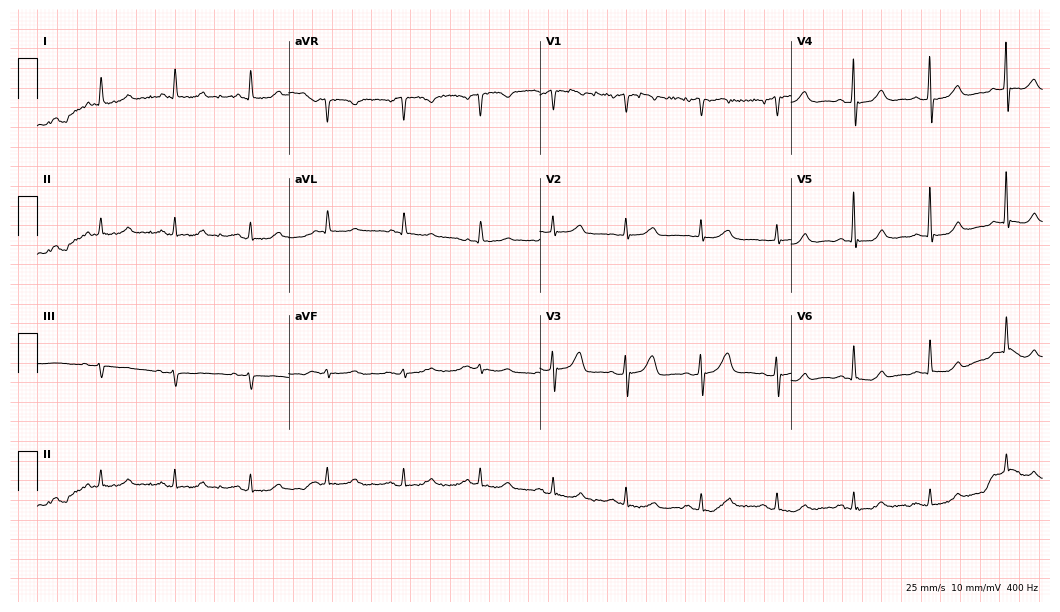
Resting 12-lead electrocardiogram (10.2-second recording at 400 Hz). Patient: a woman, 83 years old. Read as a normal ECG.